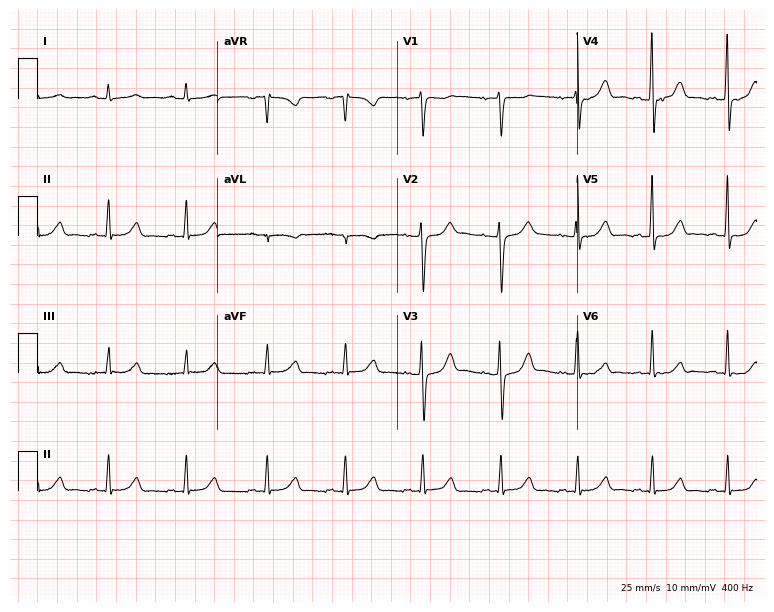
ECG (7.3-second recording at 400 Hz) — a 50-year-old female patient. Labelled as a normal ECG.